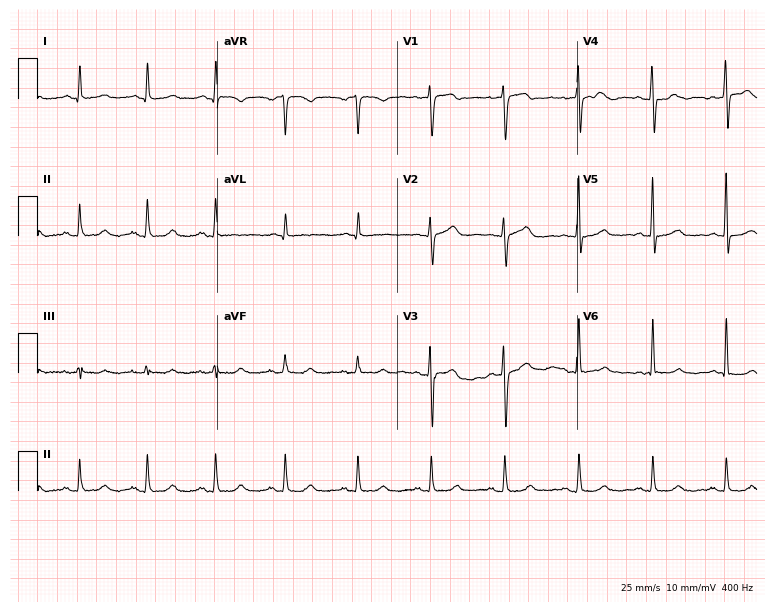
Standard 12-lead ECG recorded from a female, 58 years old (7.3-second recording at 400 Hz). Read as a normal ECG.